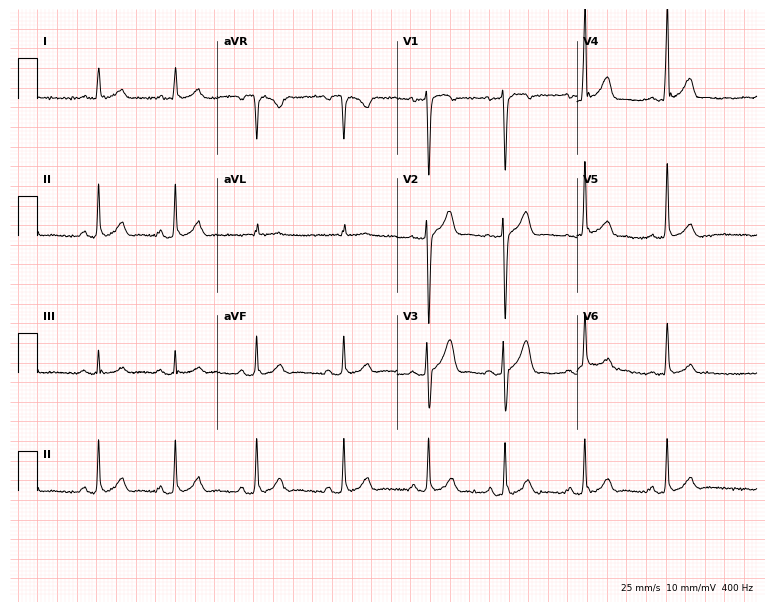
12-lead ECG from a 23-year-old male. Labelled as a normal ECG.